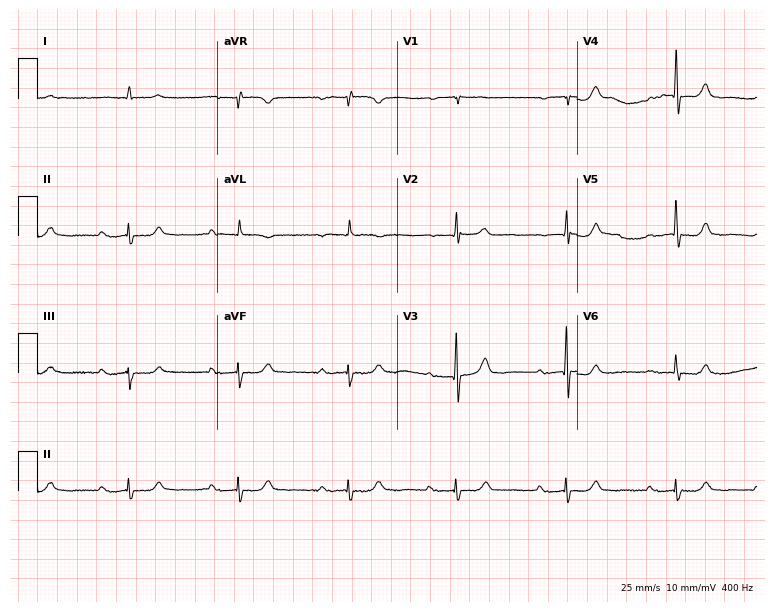
Resting 12-lead electrocardiogram. Patient: a 76-year-old male. The tracing shows first-degree AV block.